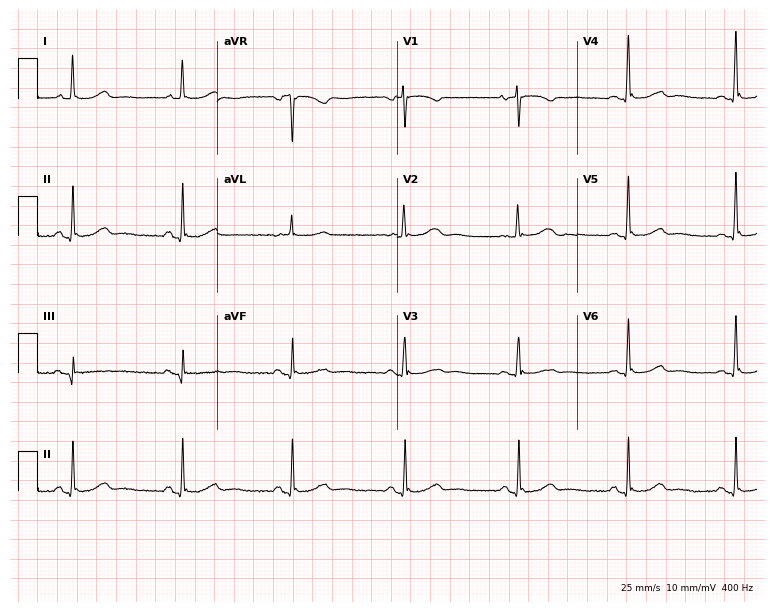
Standard 12-lead ECG recorded from a 68-year-old woman. Read as a normal ECG.